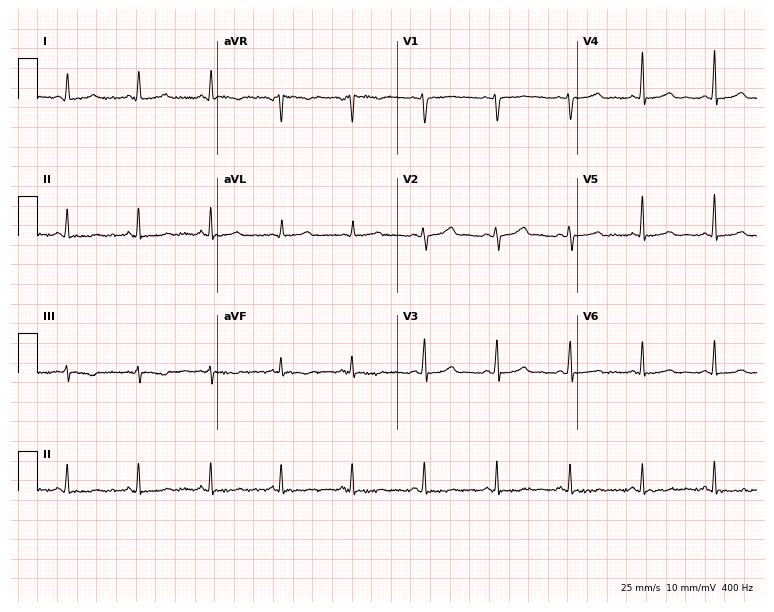
Resting 12-lead electrocardiogram (7.3-second recording at 400 Hz). Patient: a 43-year-old female. None of these six findings is recorded: first-degree AV block, right bundle branch block (RBBB), left bundle branch block (LBBB), sinus bradycardia, atrial fibrillation (AF), sinus tachycardia.